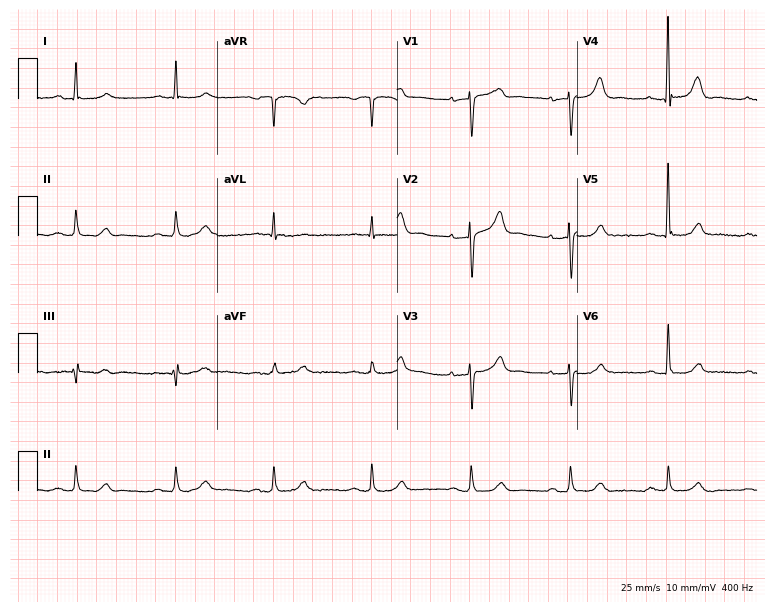
12-lead ECG from an 82-year-old male. Labelled as a normal ECG.